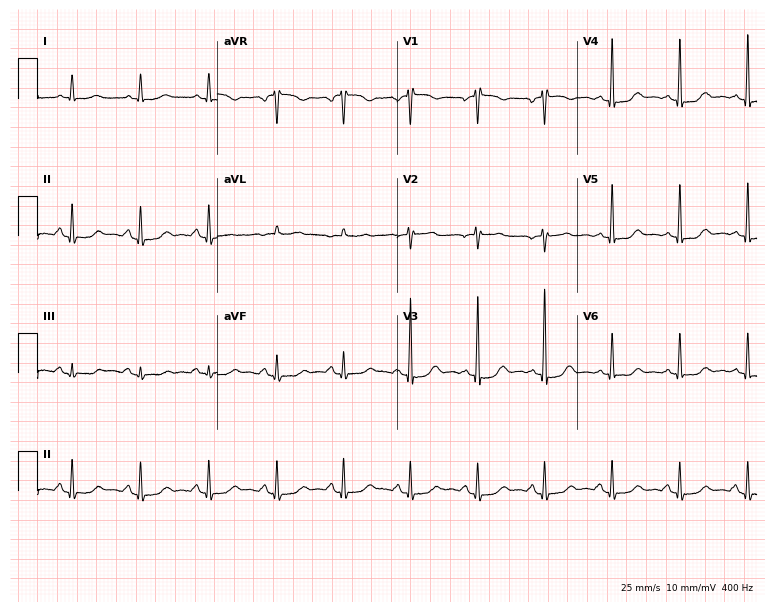
12-lead ECG from a female, 63 years old. Screened for six findings — first-degree AV block, right bundle branch block, left bundle branch block, sinus bradycardia, atrial fibrillation, sinus tachycardia — none is recorded. Other findings, if any, are not listed.